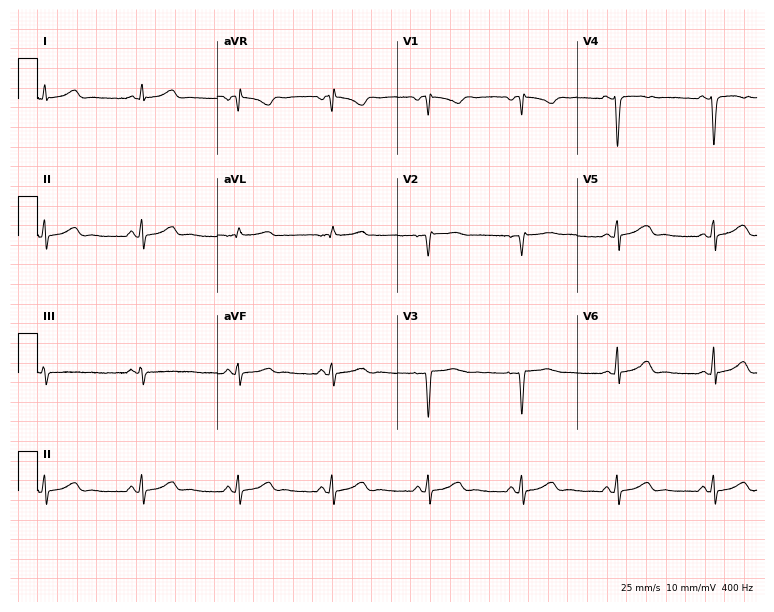
Resting 12-lead electrocardiogram (7.3-second recording at 400 Hz). Patient: a 31-year-old female. None of these six findings is recorded: first-degree AV block, right bundle branch block (RBBB), left bundle branch block (LBBB), sinus bradycardia, atrial fibrillation (AF), sinus tachycardia. Other findings, if any, are not listed.